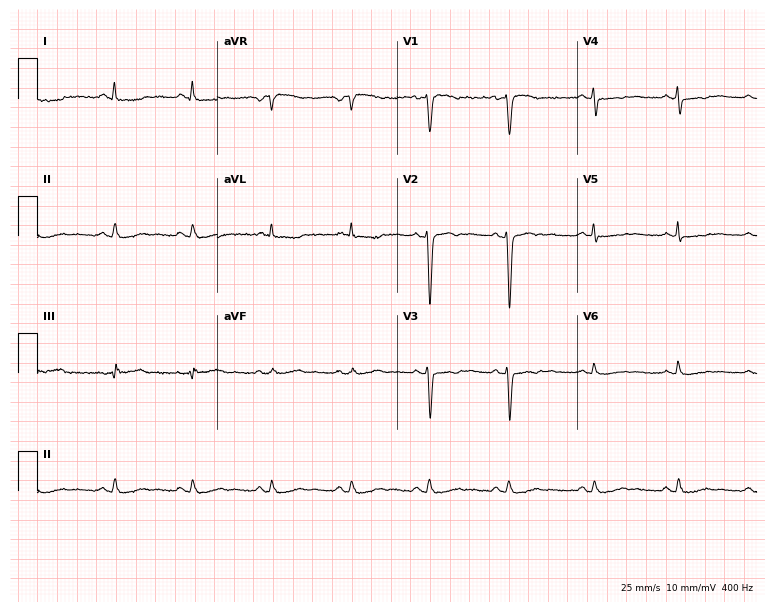
Resting 12-lead electrocardiogram. Patient: a female, 39 years old. None of these six findings is recorded: first-degree AV block, right bundle branch block, left bundle branch block, sinus bradycardia, atrial fibrillation, sinus tachycardia. Only these six findings were labelled.